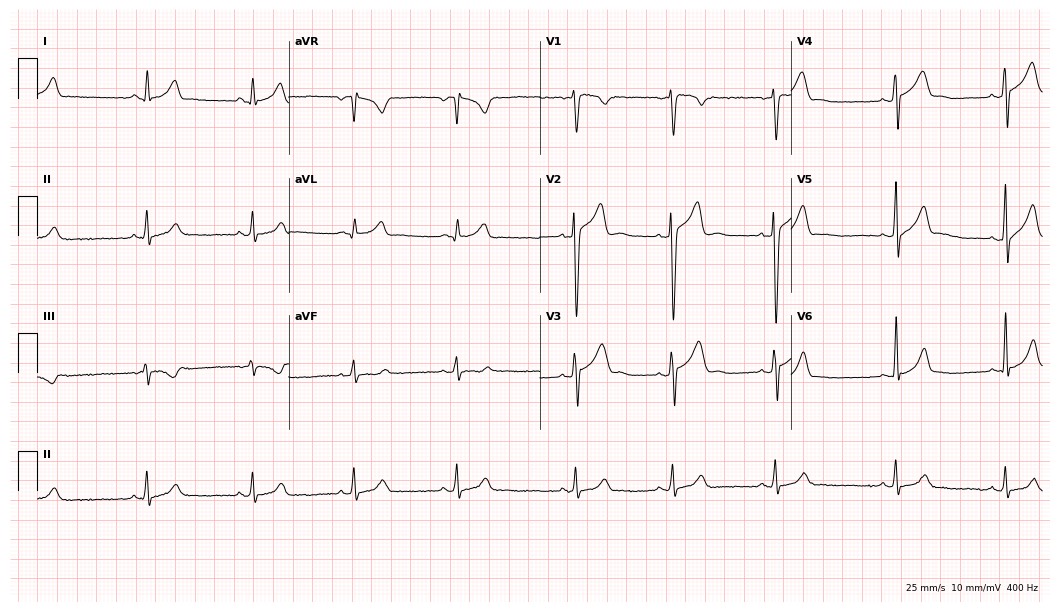
12-lead ECG (10.2-second recording at 400 Hz) from a male, 22 years old. Screened for six findings — first-degree AV block, right bundle branch block, left bundle branch block, sinus bradycardia, atrial fibrillation, sinus tachycardia — none is recorded.